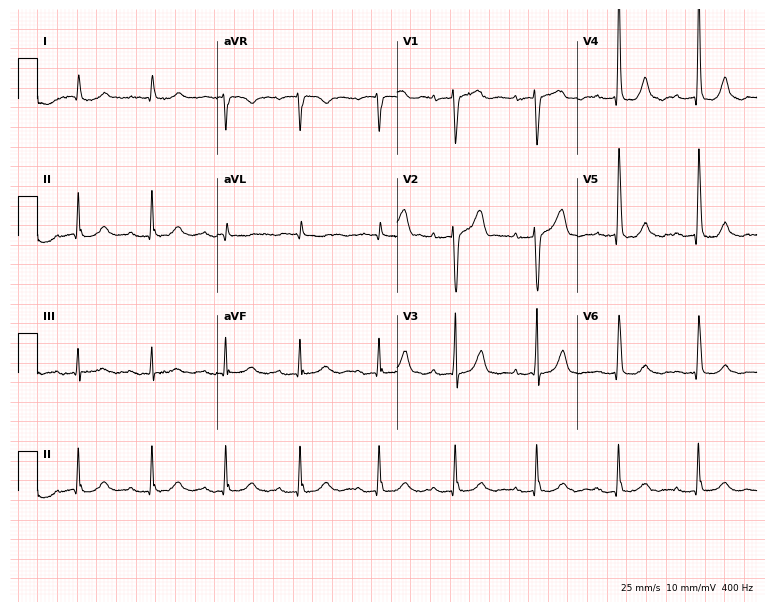
Resting 12-lead electrocardiogram (7.3-second recording at 400 Hz). Patient: a male, 82 years old. Read as a normal ECG.